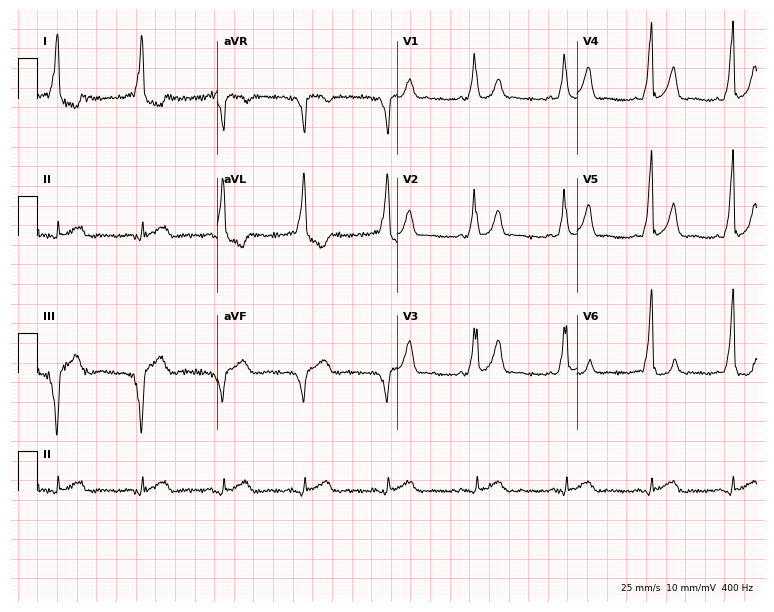
Electrocardiogram (7.3-second recording at 400 Hz), a 39-year-old male patient. Of the six screened findings (first-degree AV block, right bundle branch block, left bundle branch block, sinus bradycardia, atrial fibrillation, sinus tachycardia), none is recorded.